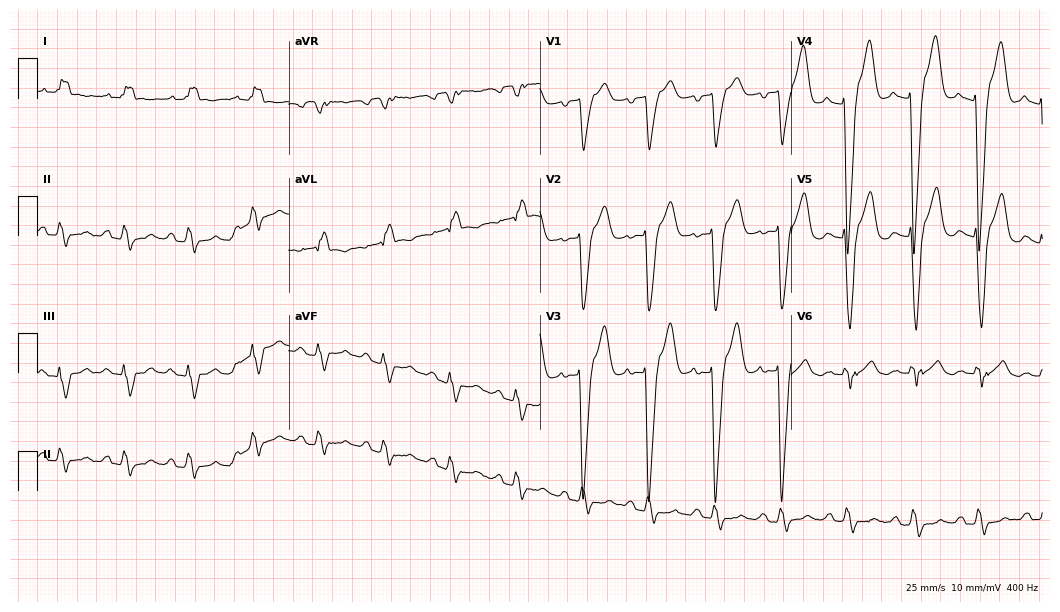
12-lead ECG from a female, 84 years old. Shows left bundle branch block.